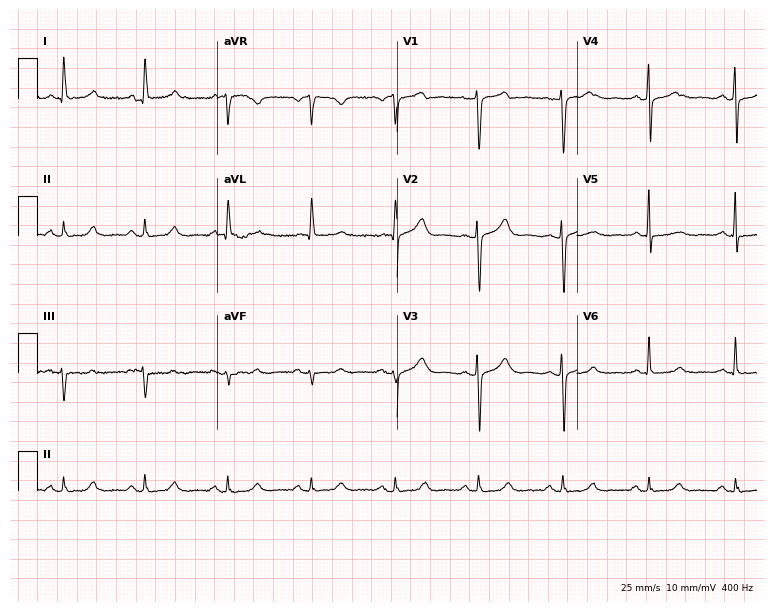
Standard 12-lead ECG recorded from a female patient, 73 years old (7.3-second recording at 400 Hz). None of these six findings is recorded: first-degree AV block, right bundle branch block, left bundle branch block, sinus bradycardia, atrial fibrillation, sinus tachycardia. Other findings, if any, are not listed.